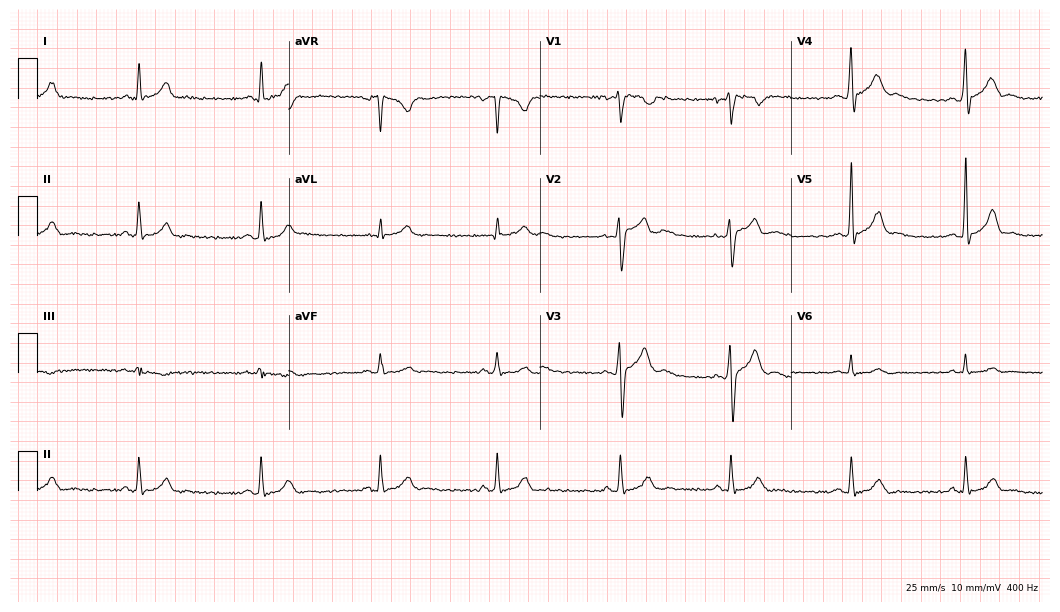
ECG (10.2-second recording at 400 Hz) — a male, 27 years old. Labelled as a normal ECG.